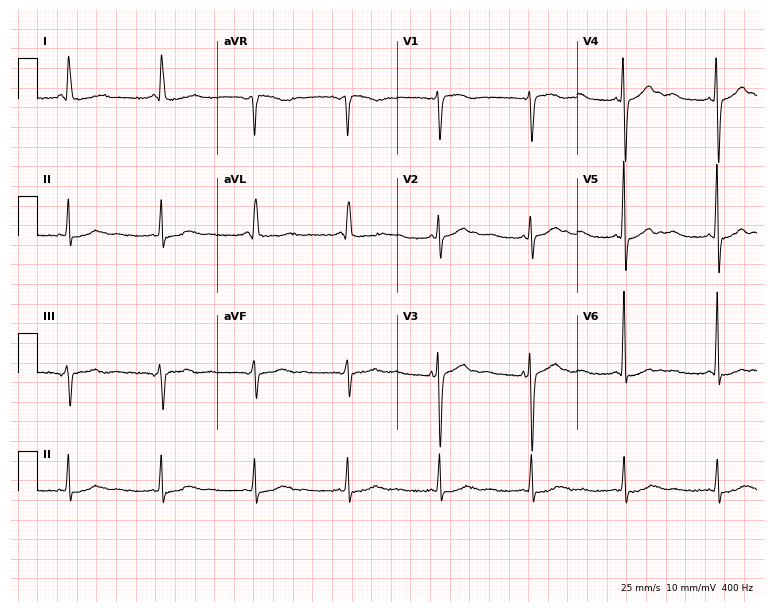
Resting 12-lead electrocardiogram (7.3-second recording at 400 Hz). Patient: a 75-year-old female. None of these six findings is recorded: first-degree AV block, right bundle branch block (RBBB), left bundle branch block (LBBB), sinus bradycardia, atrial fibrillation (AF), sinus tachycardia. Only these six findings were labelled.